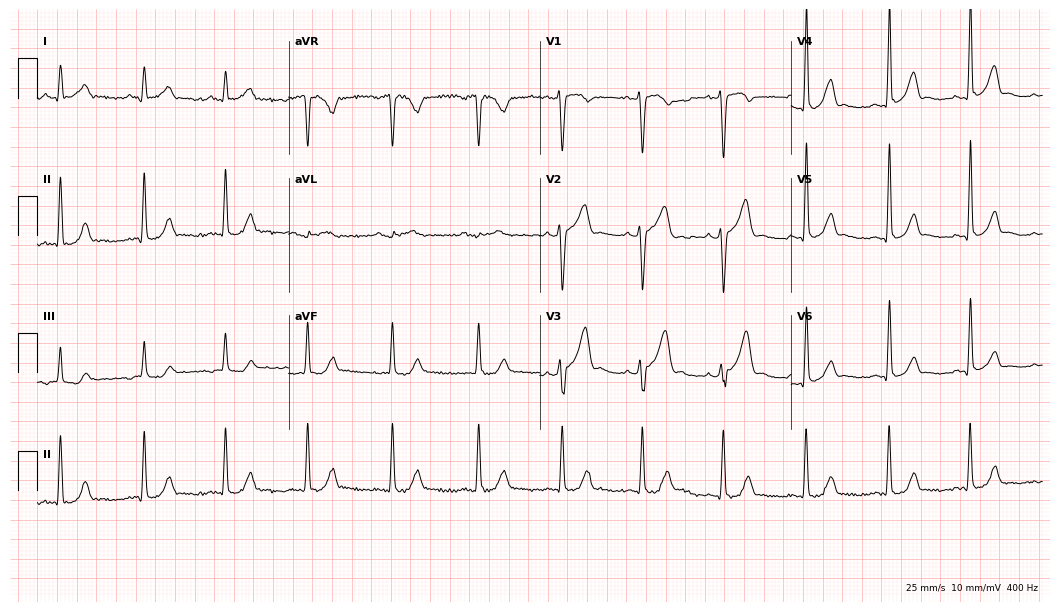
12-lead ECG from a 43-year-old male patient (10.2-second recording at 400 Hz). Recorded interpretation: within normal limits.